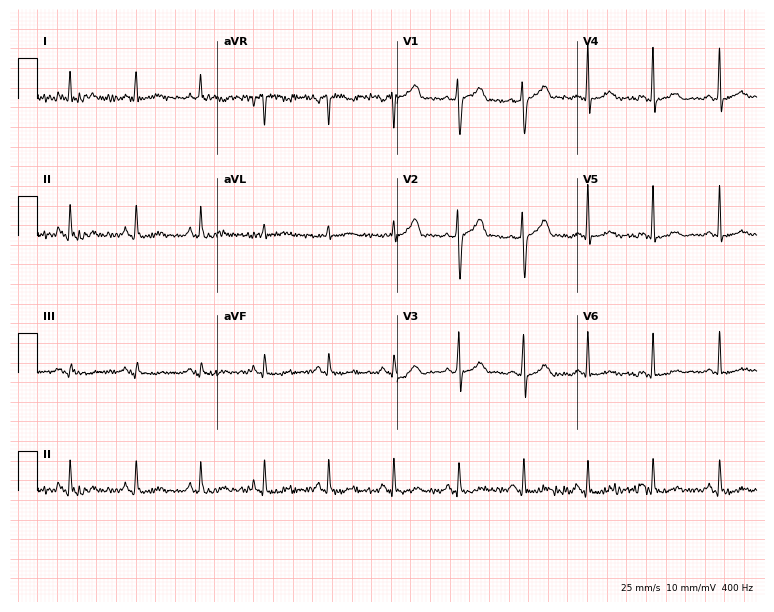
12-lead ECG from a man, 52 years old (7.3-second recording at 400 Hz). No first-degree AV block, right bundle branch block (RBBB), left bundle branch block (LBBB), sinus bradycardia, atrial fibrillation (AF) or sinus tachycardia recorded for this tracing.